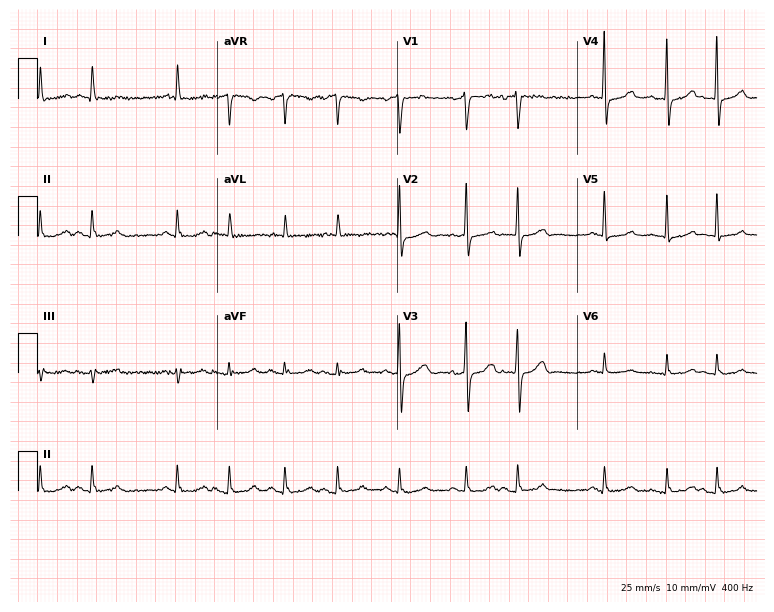
12-lead ECG from an 80-year-old female patient. Labelled as a normal ECG.